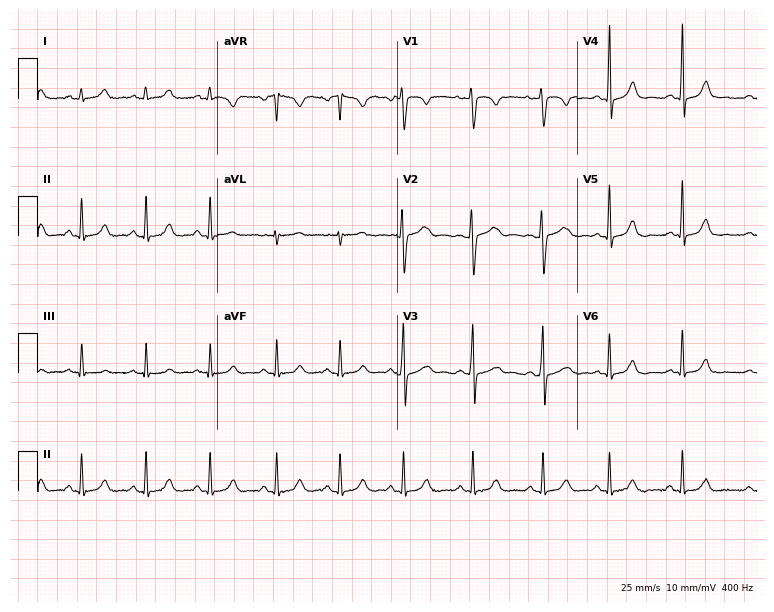
Standard 12-lead ECG recorded from a woman, 28 years old (7.3-second recording at 400 Hz). Read as a normal ECG.